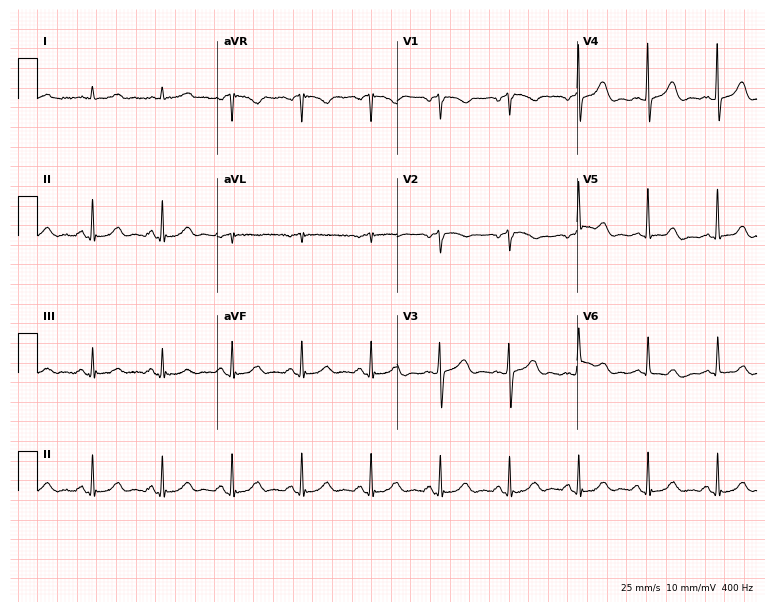
Standard 12-lead ECG recorded from a 77-year-old male (7.3-second recording at 400 Hz). None of these six findings is recorded: first-degree AV block, right bundle branch block, left bundle branch block, sinus bradycardia, atrial fibrillation, sinus tachycardia.